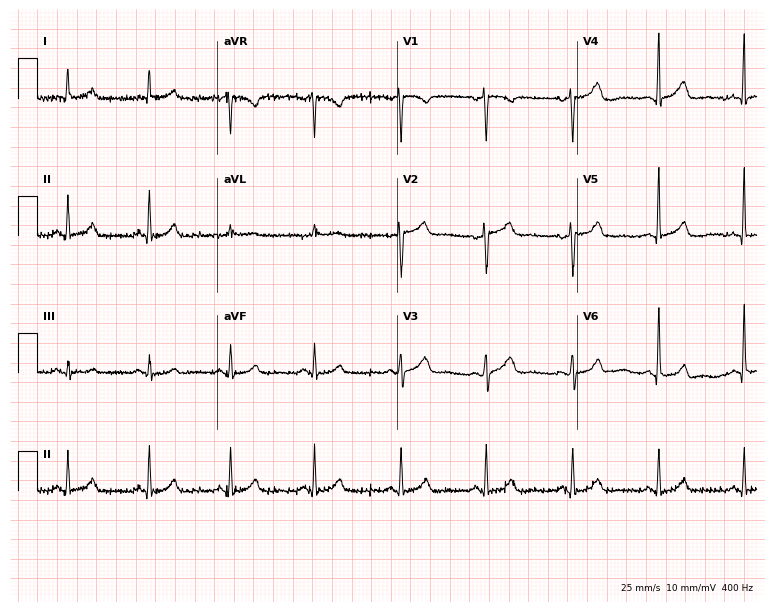
Resting 12-lead electrocardiogram (7.3-second recording at 400 Hz). Patient: a woman, 53 years old. Read as a normal ECG.